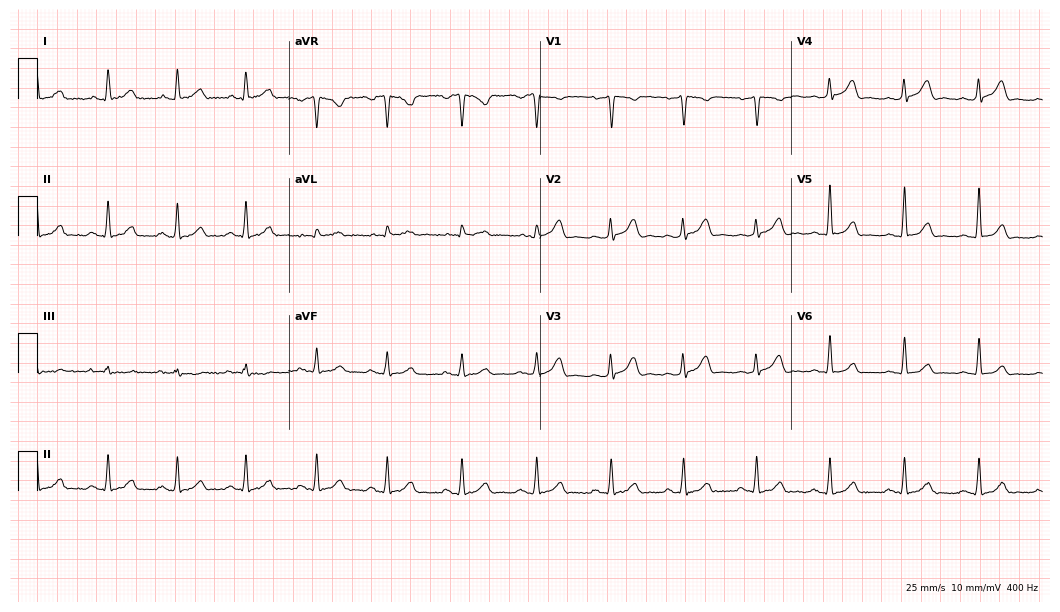
12-lead ECG (10.2-second recording at 400 Hz) from a male patient, 34 years old. Labelled as a normal ECG.